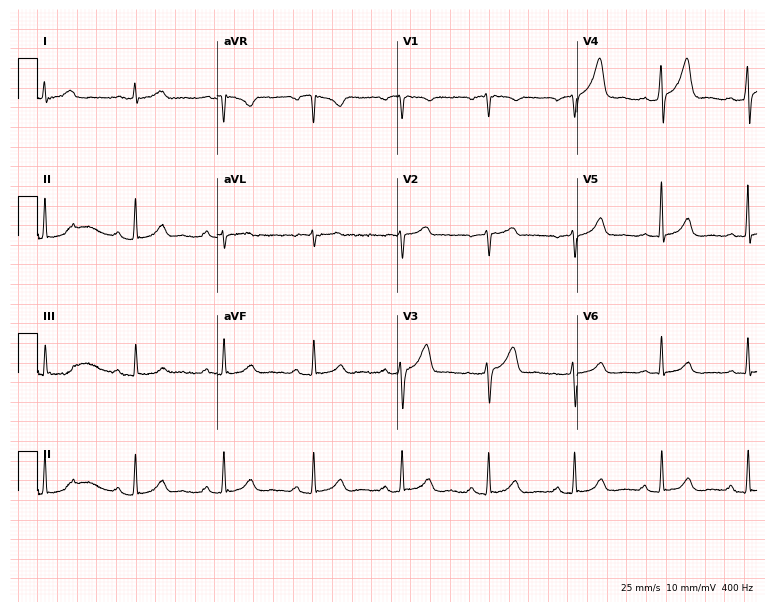
ECG (7.3-second recording at 400 Hz) — a male, 58 years old. Screened for six findings — first-degree AV block, right bundle branch block, left bundle branch block, sinus bradycardia, atrial fibrillation, sinus tachycardia — none is recorded. Other findings, if any, are not listed.